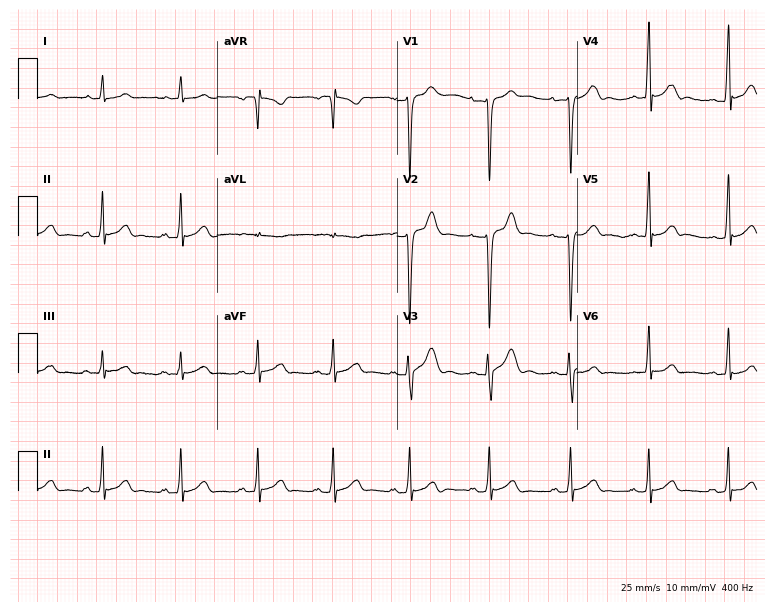
Resting 12-lead electrocardiogram. Patient: a 21-year-old male. Read as a normal ECG.